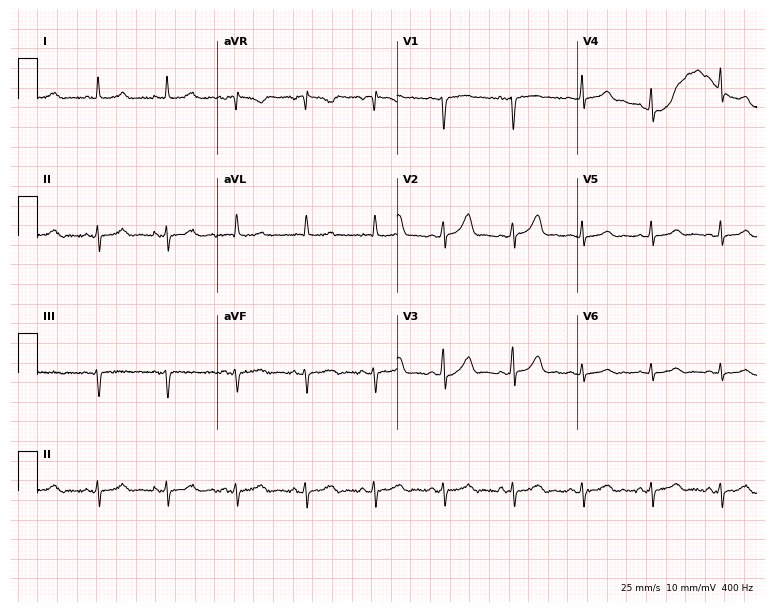
Resting 12-lead electrocardiogram. Patient: a 52-year-old female. None of these six findings is recorded: first-degree AV block, right bundle branch block (RBBB), left bundle branch block (LBBB), sinus bradycardia, atrial fibrillation (AF), sinus tachycardia. Other findings, if any, are not listed.